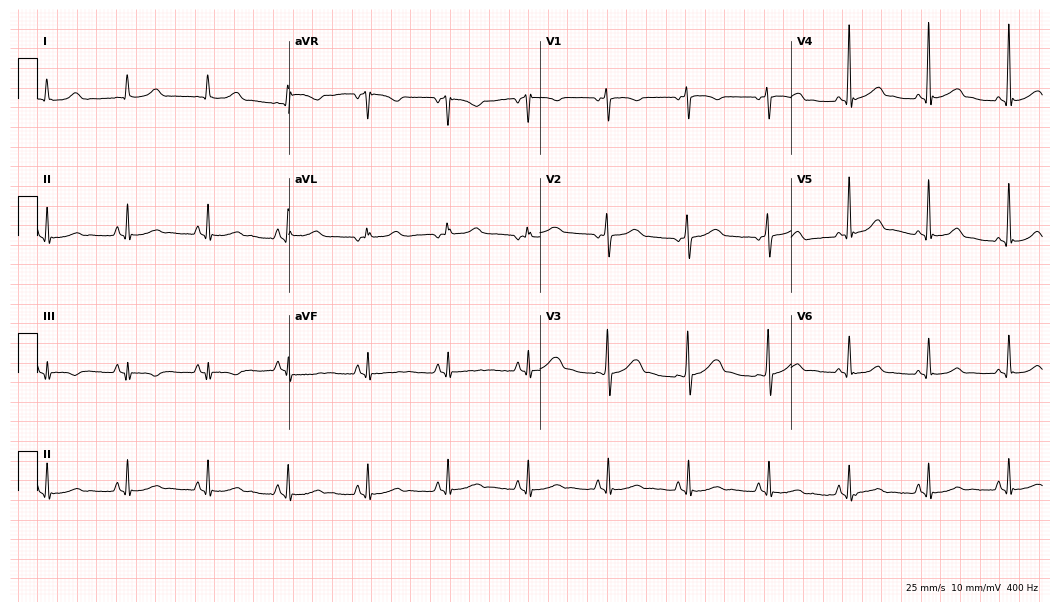
12-lead ECG (10.2-second recording at 400 Hz) from a 22-year-old female patient. Labelled as a normal ECG.